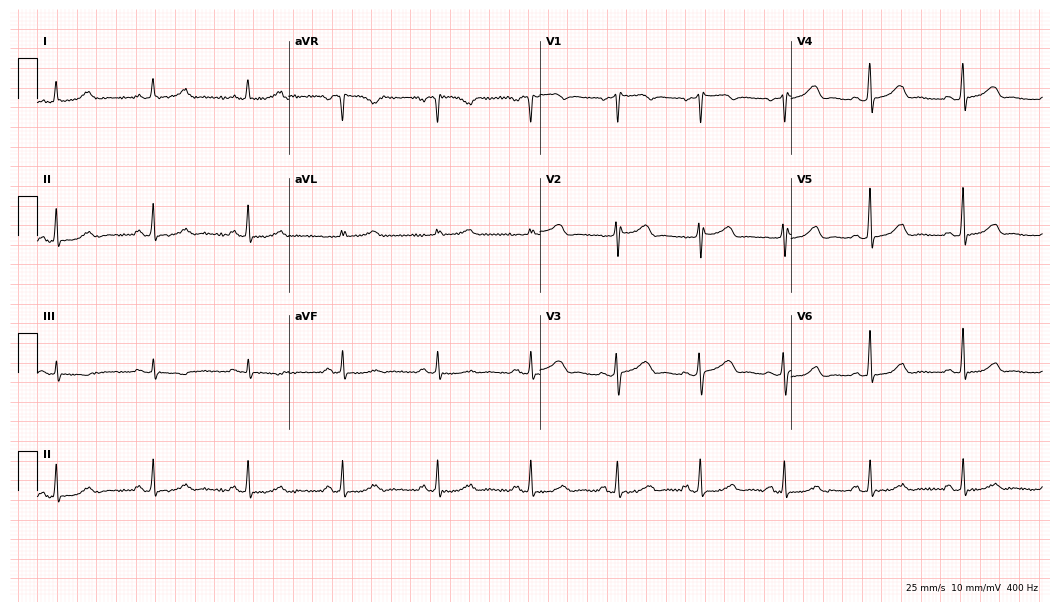
Standard 12-lead ECG recorded from a 48-year-old female patient. Read as a normal ECG.